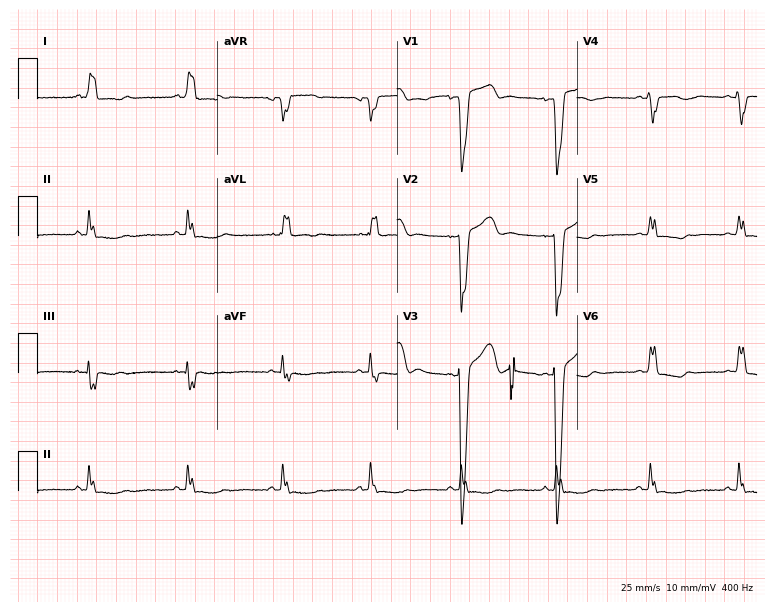
ECG — a 29-year-old woman. Findings include left bundle branch block.